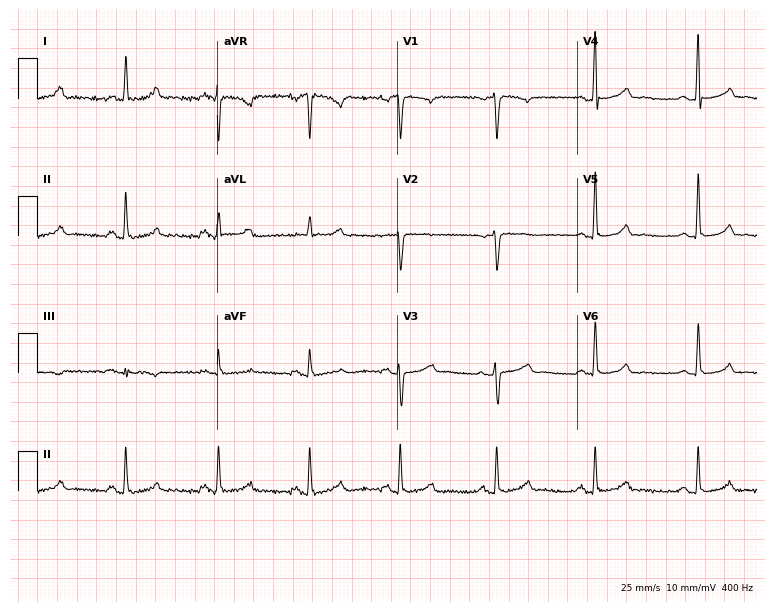
12-lead ECG from a 53-year-old woman. Recorded interpretation: within normal limits.